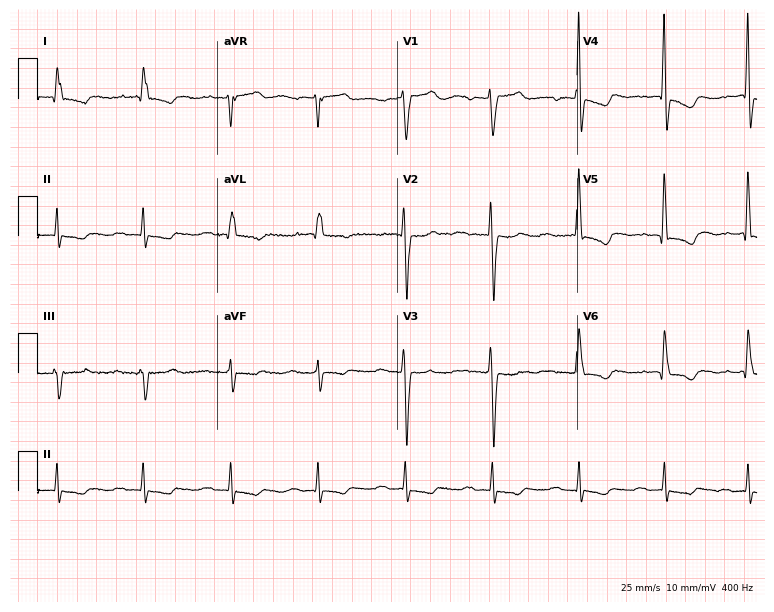
ECG (7.3-second recording at 400 Hz) — a 74-year-old man. Findings include first-degree AV block.